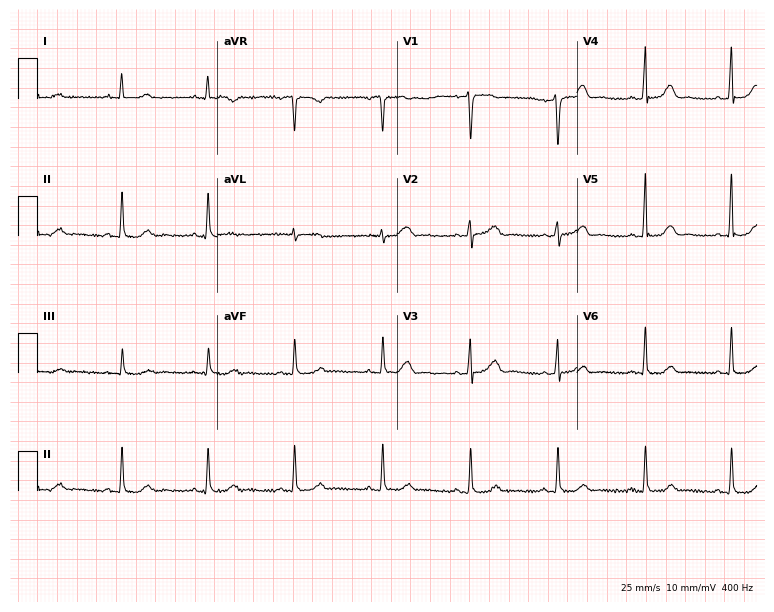
Electrocardiogram (7.3-second recording at 400 Hz), a female, 34 years old. Of the six screened findings (first-degree AV block, right bundle branch block, left bundle branch block, sinus bradycardia, atrial fibrillation, sinus tachycardia), none is recorded. Other findings, if any, are not listed.